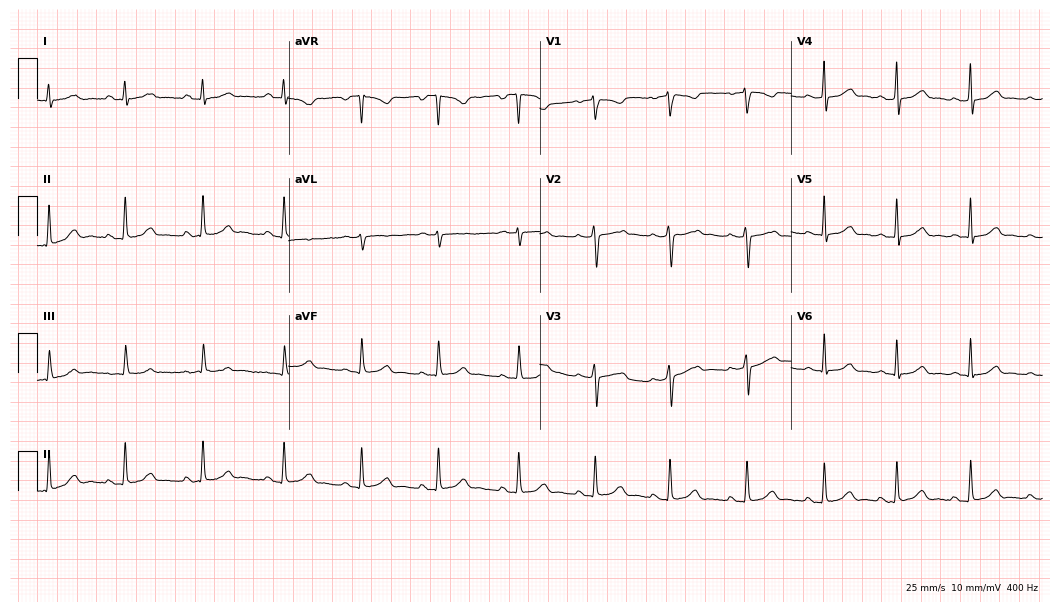
12-lead ECG from an 18-year-old woman. Recorded interpretation: within normal limits.